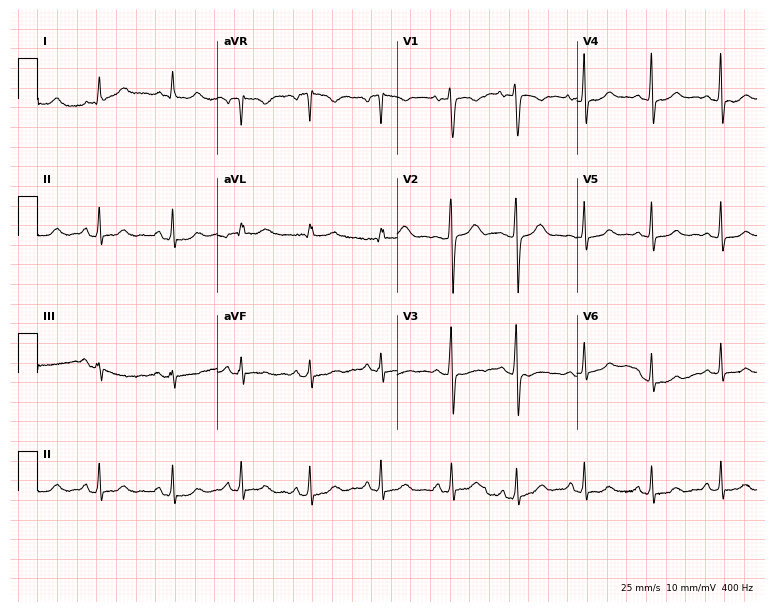
Electrocardiogram (7.3-second recording at 400 Hz), a woman, 30 years old. Overall reading on record: normal ECG.